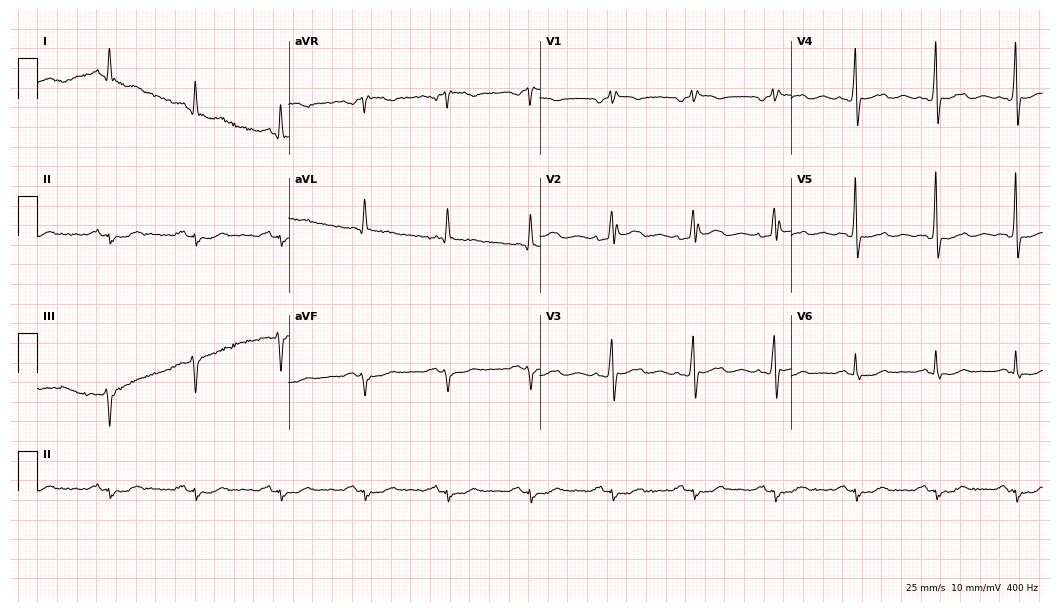
Electrocardiogram, a 53-year-old male. Of the six screened findings (first-degree AV block, right bundle branch block (RBBB), left bundle branch block (LBBB), sinus bradycardia, atrial fibrillation (AF), sinus tachycardia), none is recorded.